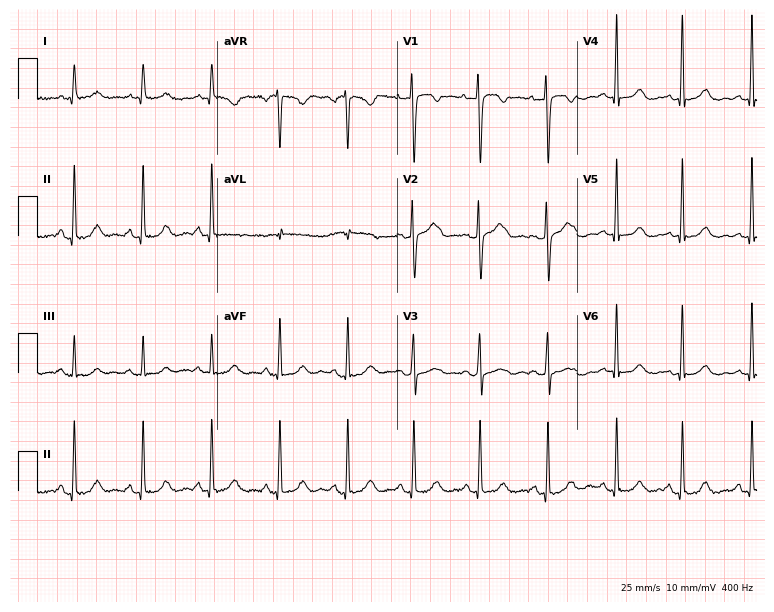
12-lead ECG from a female patient, 52 years old (7.3-second recording at 400 Hz). Recorded interpretation: within normal limits.